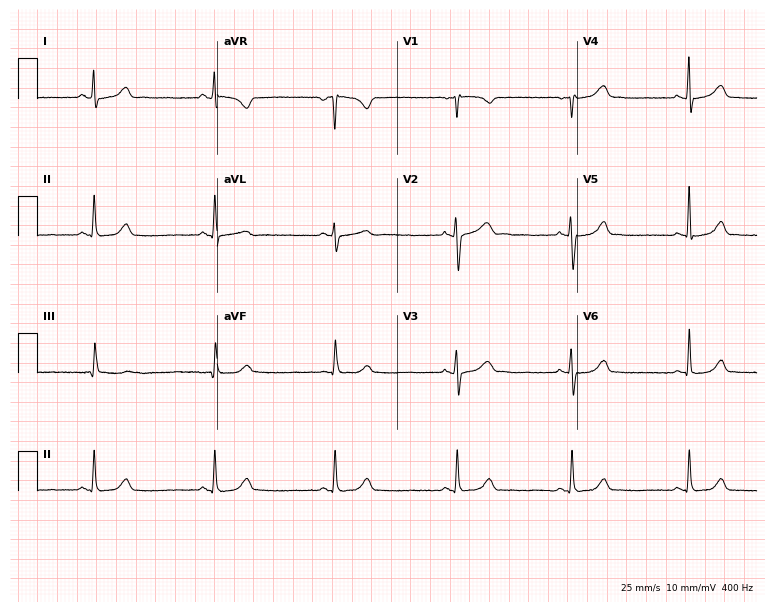
Standard 12-lead ECG recorded from a woman, 27 years old (7.3-second recording at 400 Hz). None of these six findings is recorded: first-degree AV block, right bundle branch block, left bundle branch block, sinus bradycardia, atrial fibrillation, sinus tachycardia. Findings outside these six are not listed.